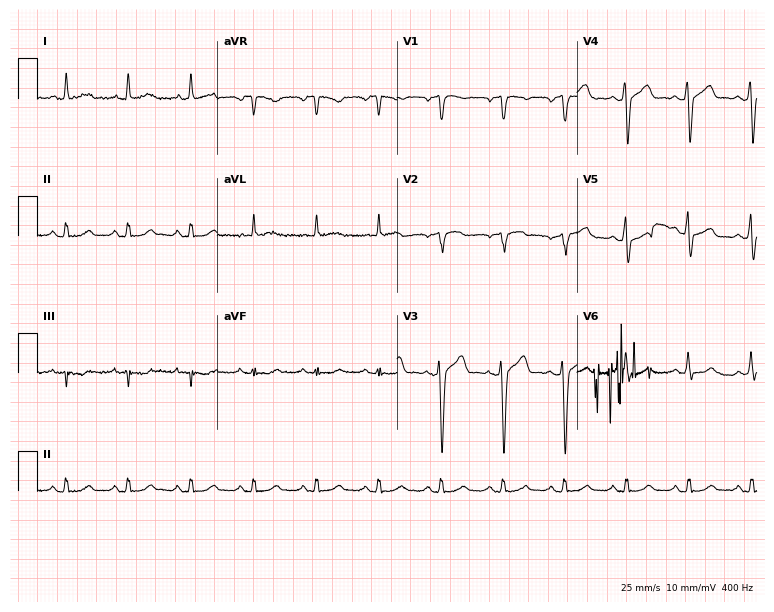
ECG — a 54-year-old female. Screened for six findings — first-degree AV block, right bundle branch block, left bundle branch block, sinus bradycardia, atrial fibrillation, sinus tachycardia — none is recorded. Only these six findings were labelled.